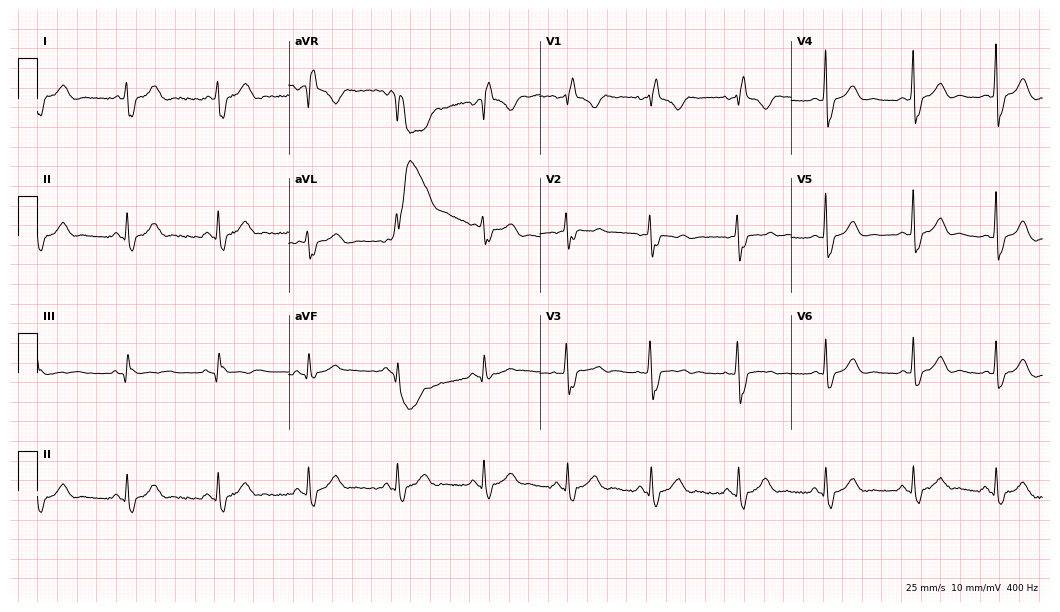
Standard 12-lead ECG recorded from a 39-year-old female (10.2-second recording at 400 Hz). The tracing shows right bundle branch block.